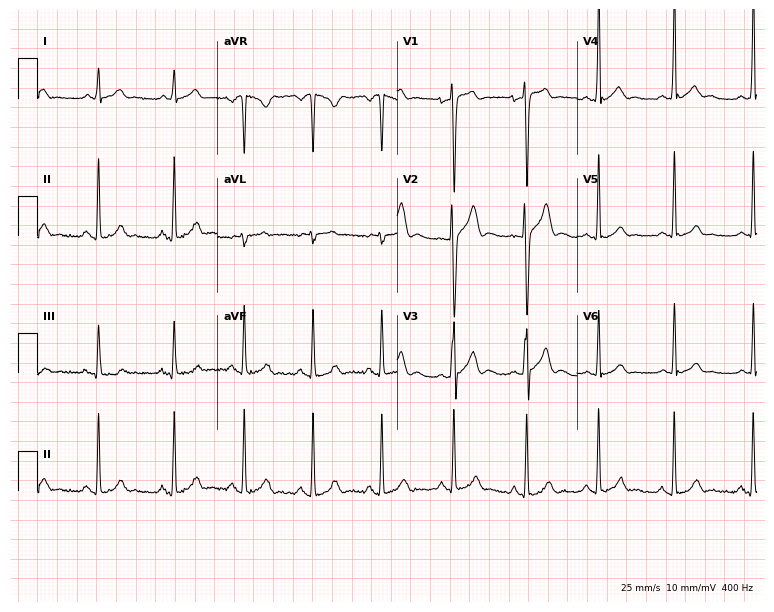
12-lead ECG from a male patient, 21 years old. Screened for six findings — first-degree AV block, right bundle branch block, left bundle branch block, sinus bradycardia, atrial fibrillation, sinus tachycardia — none is recorded.